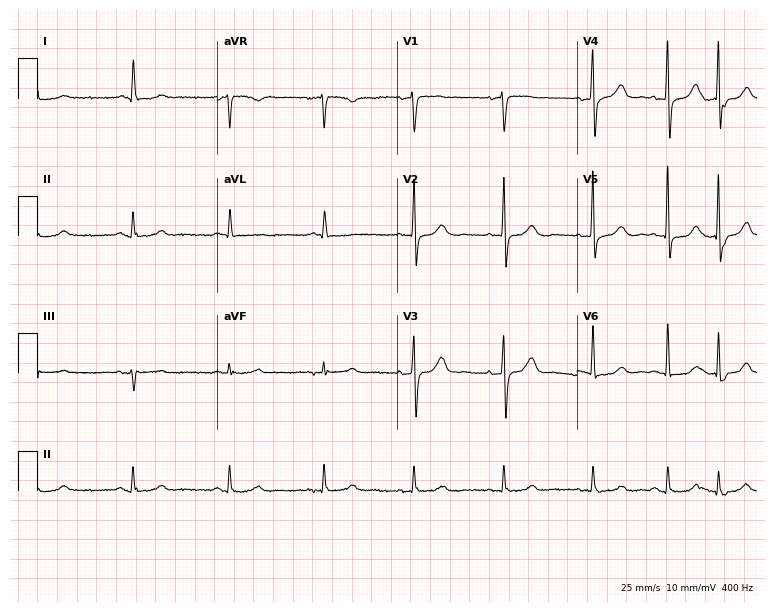
Standard 12-lead ECG recorded from an 80-year-old female. Read as a normal ECG.